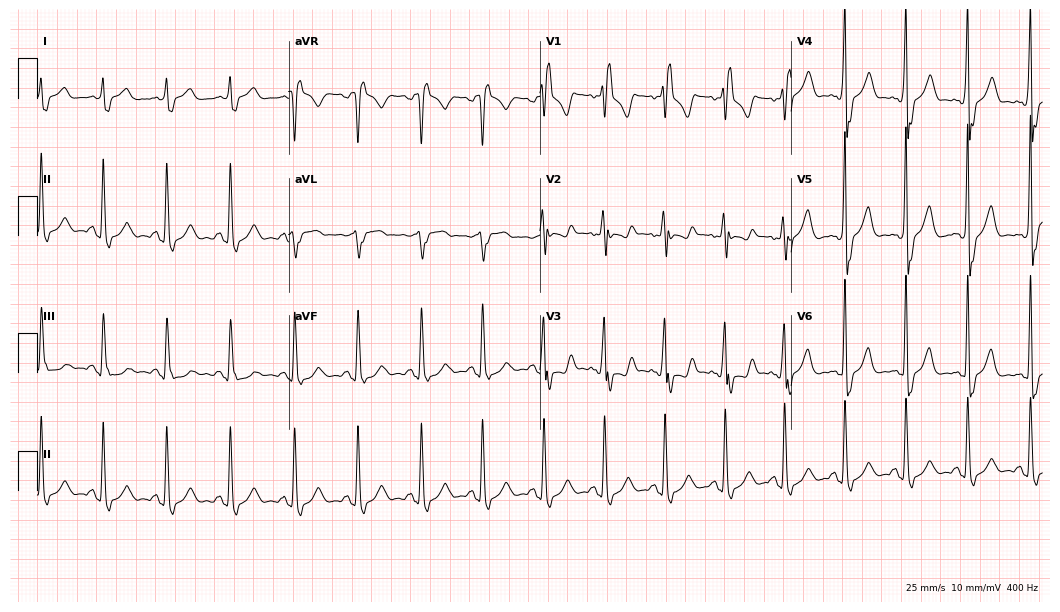
12-lead ECG from a 36-year-old male. Shows right bundle branch block.